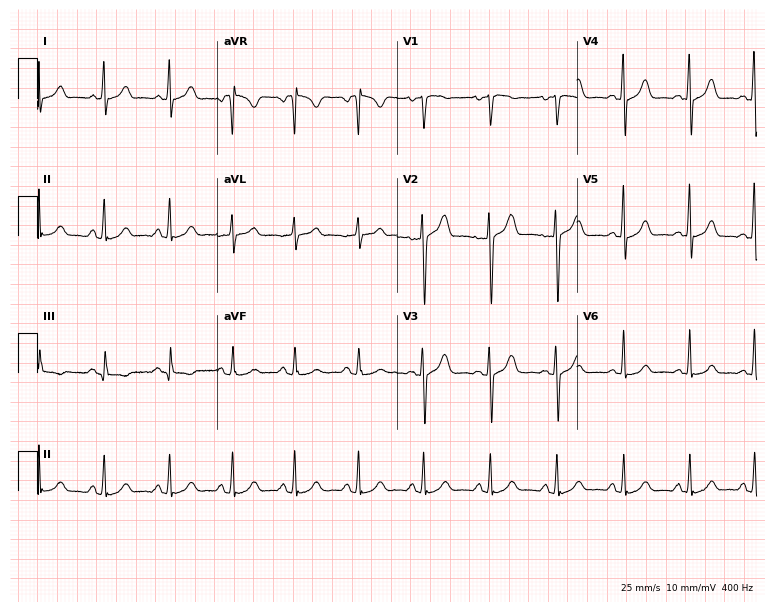
Standard 12-lead ECG recorded from a 50-year-old female patient. Read as a normal ECG.